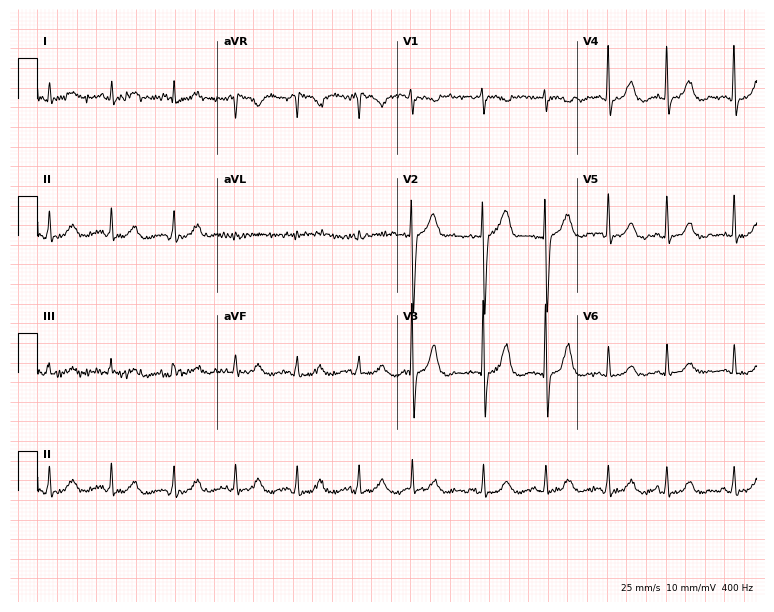
12-lead ECG from an 80-year-old woman. Recorded interpretation: within normal limits.